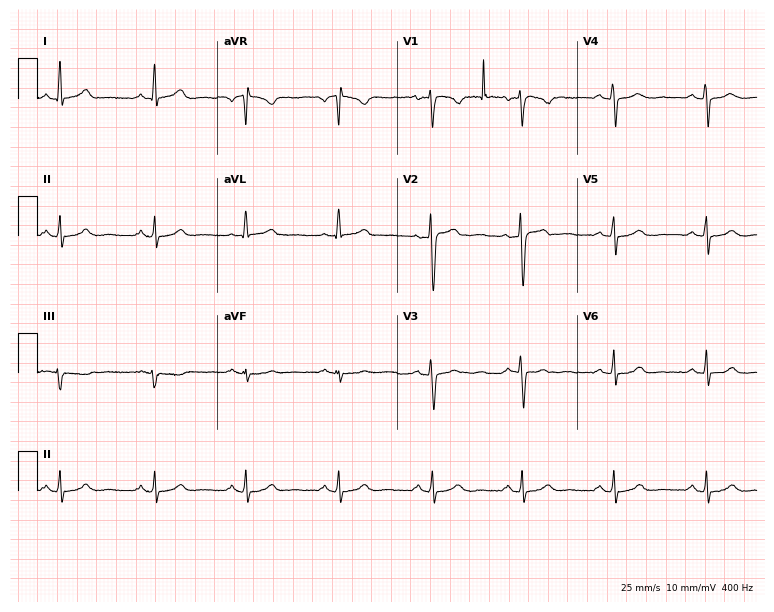
Electrocardiogram (7.3-second recording at 400 Hz), a 35-year-old female. Overall reading on record: normal ECG.